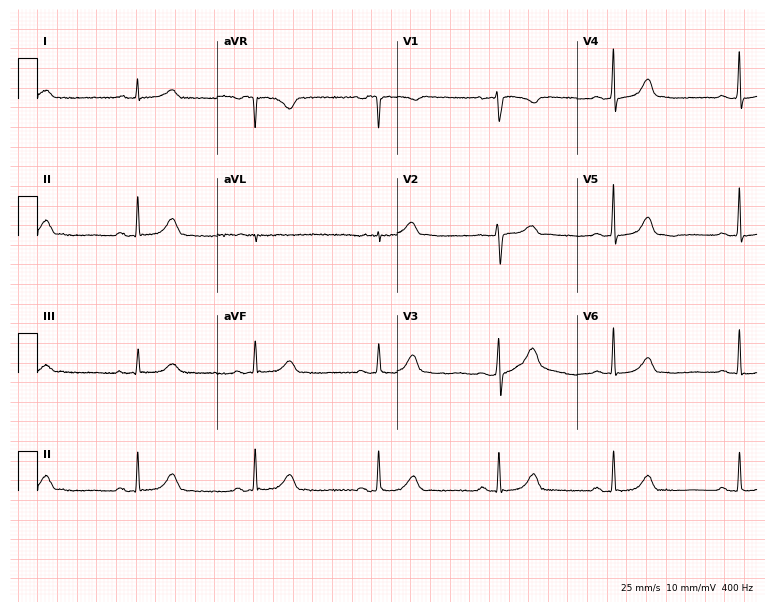
ECG — a woman, 38 years old. Labelled as a normal ECG.